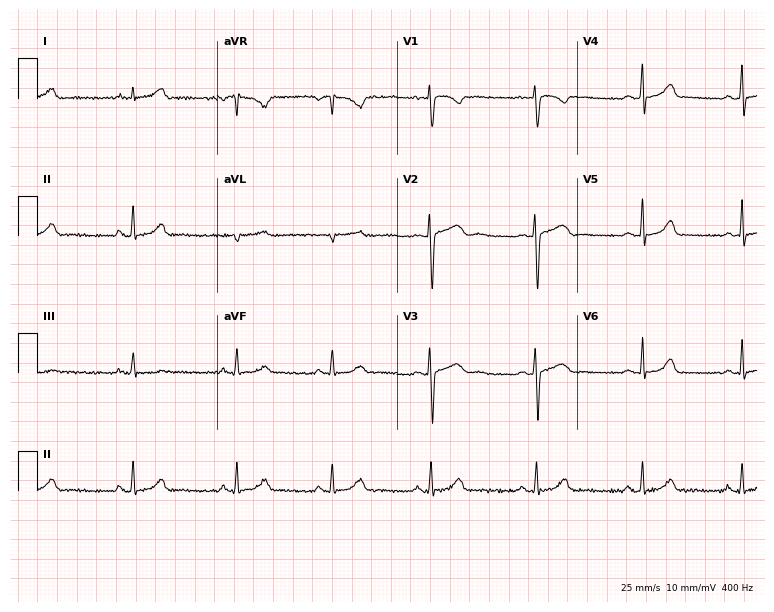
Electrocardiogram (7.3-second recording at 400 Hz), a 30-year-old woman. Overall reading on record: normal ECG.